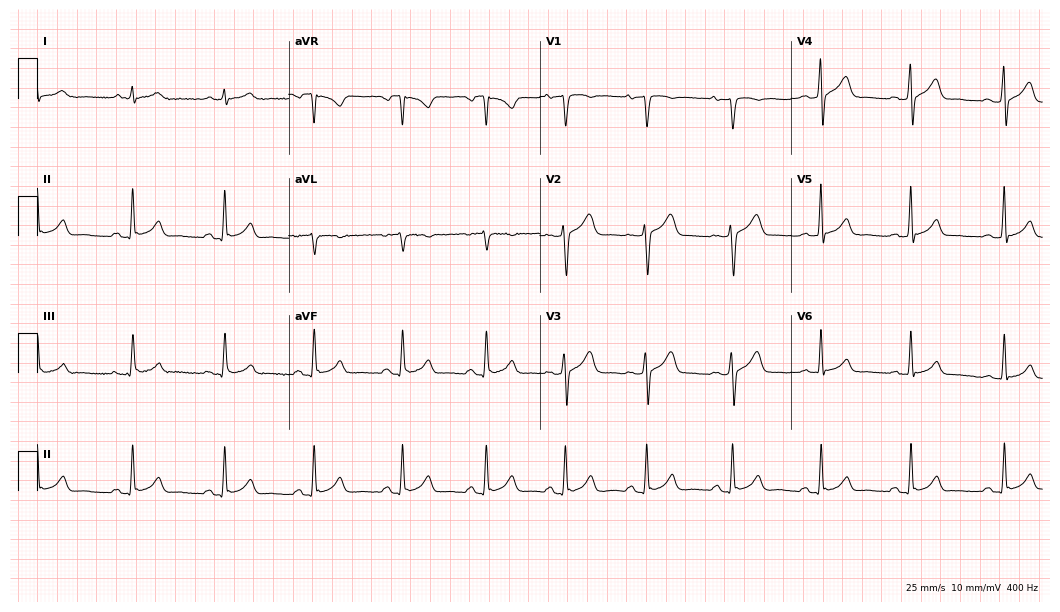
Resting 12-lead electrocardiogram (10.2-second recording at 400 Hz). Patient: a 39-year-old man. Read as a normal ECG.